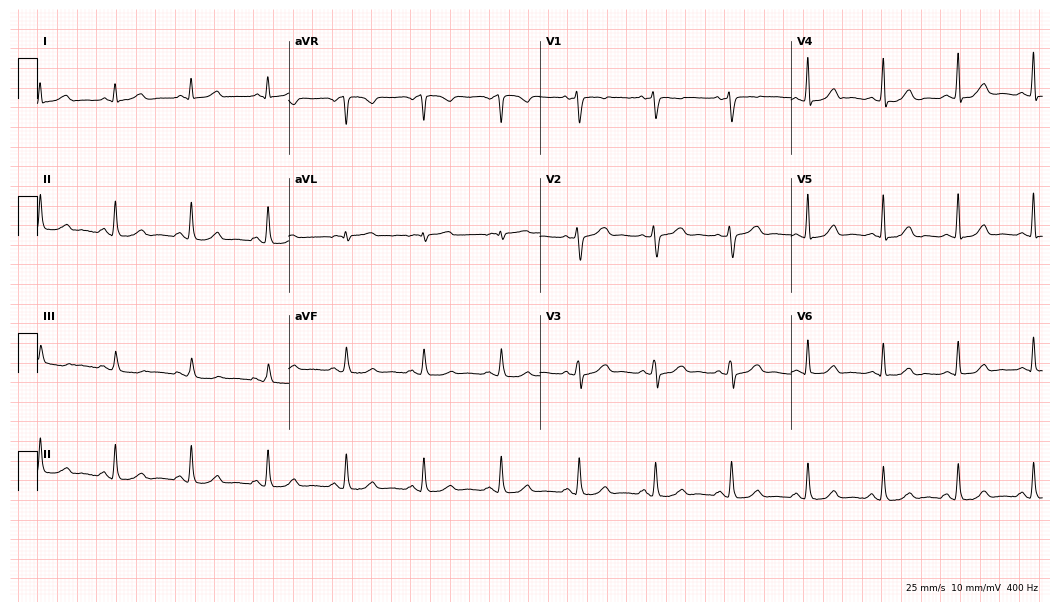
12-lead ECG from a 48-year-old woman. Recorded interpretation: within normal limits.